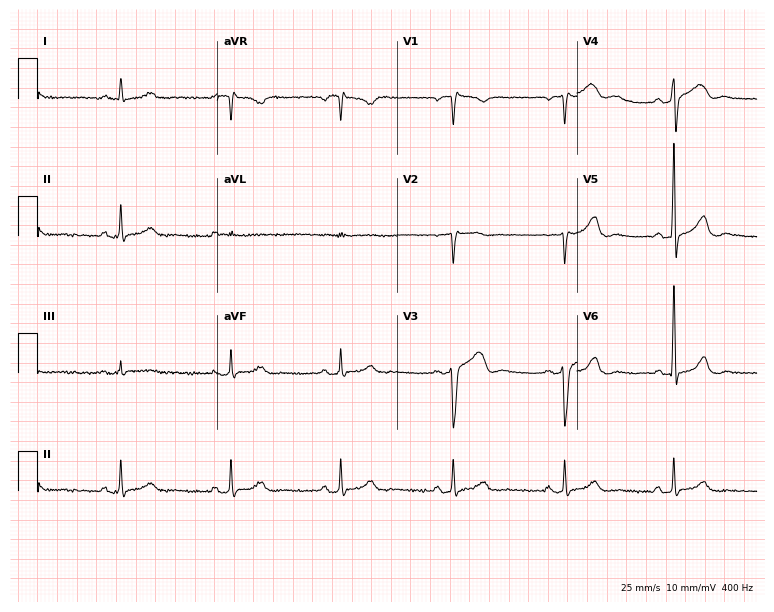
12-lead ECG from a male, 53 years old. Screened for six findings — first-degree AV block, right bundle branch block, left bundle branch block, sinus bradycardia, atrial fibrillation, sinus tachycardia — none is recorded.